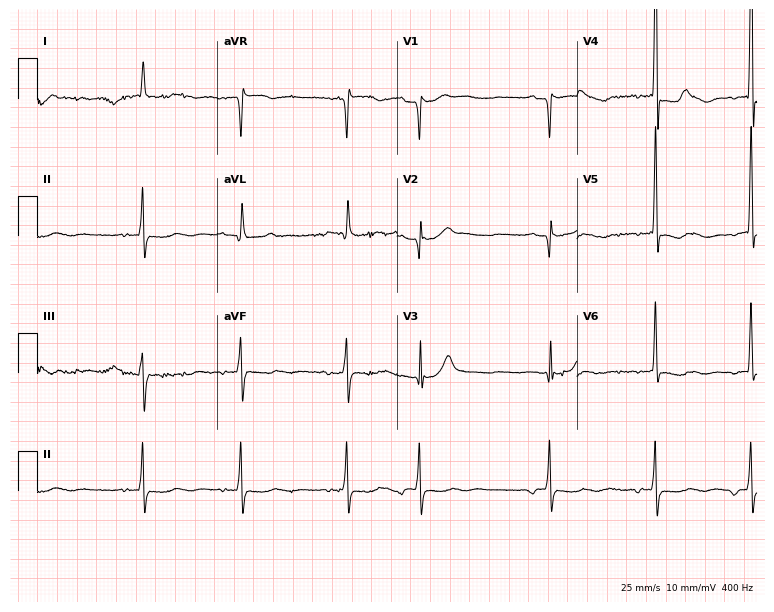
12-lead ECG from an 86-year-old male patient. No first-degree AV block, right bundle branch block, left bundle branch block, sinus bradycardia, atrial fibrillation or sinus tachycardia recorded for this tracing. Only these six findings were labelled.